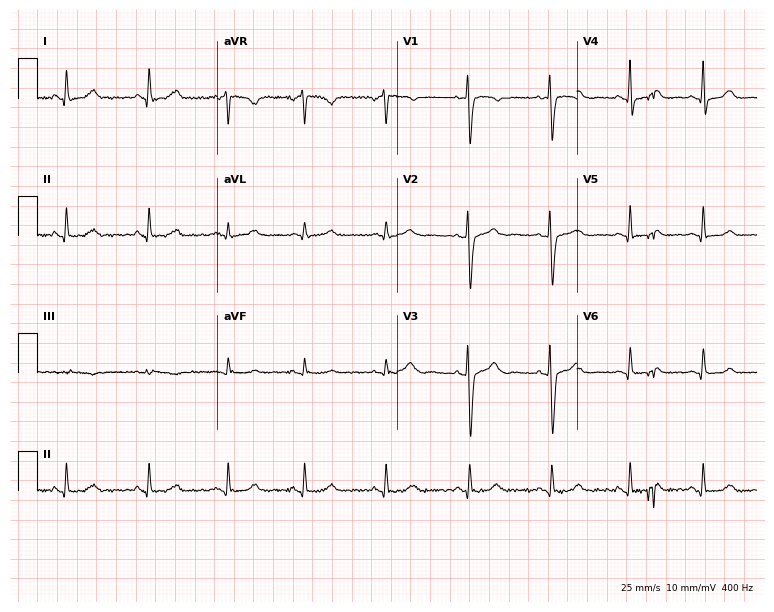
Standard 12-lead ECG recorded from a female, 37 years old (7.3-second recording at 400 Hz). Read as a normal ECG.